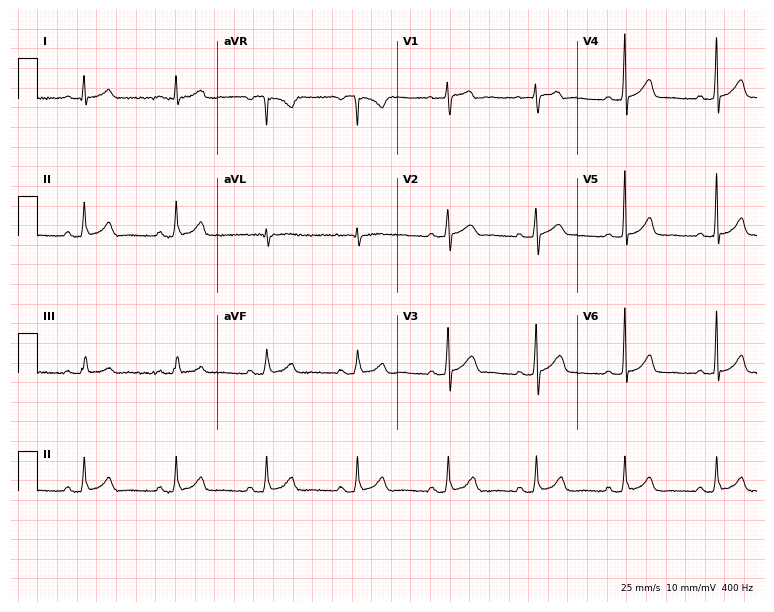
Resting 12-lead electrocardiogram (7.3-second recording at 400 Hz). Patient: a female, 57 years old. Read as a normal ECG.